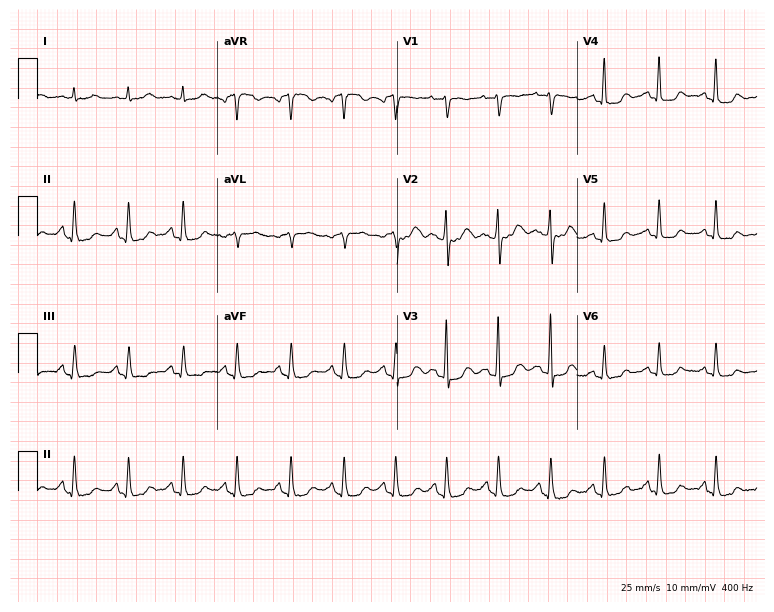
12-lead ECG from a woman, 60 years old. Findings include sinus tachycardia (a sinus rate of 100 beats per minute or more).